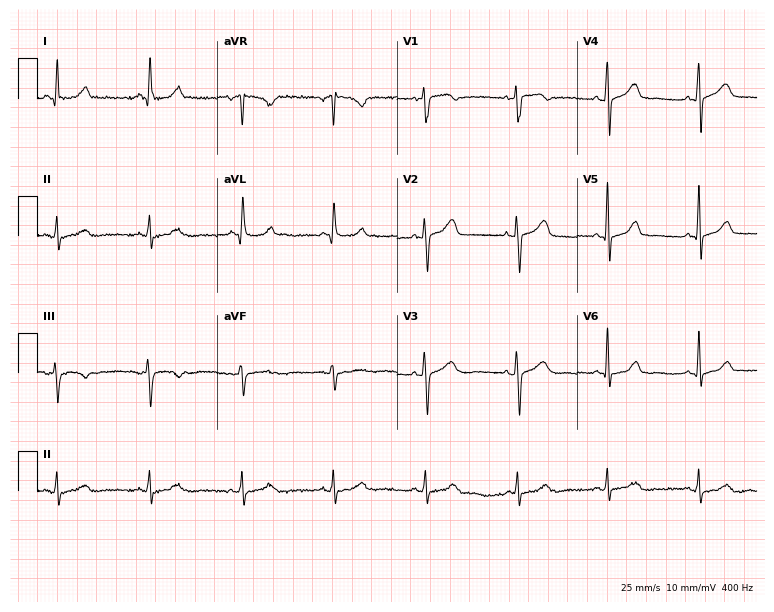
ECG (7.3-second recording at 400 Hz) — a female patient, 56 years old. Screened for six findings — first-degree AV block, right bundle branch block, left bundle branch block, sinus bradycardia, atrial fibrillation, sinus tachycardia — none is recorded. Other findings, if any, are not listed.